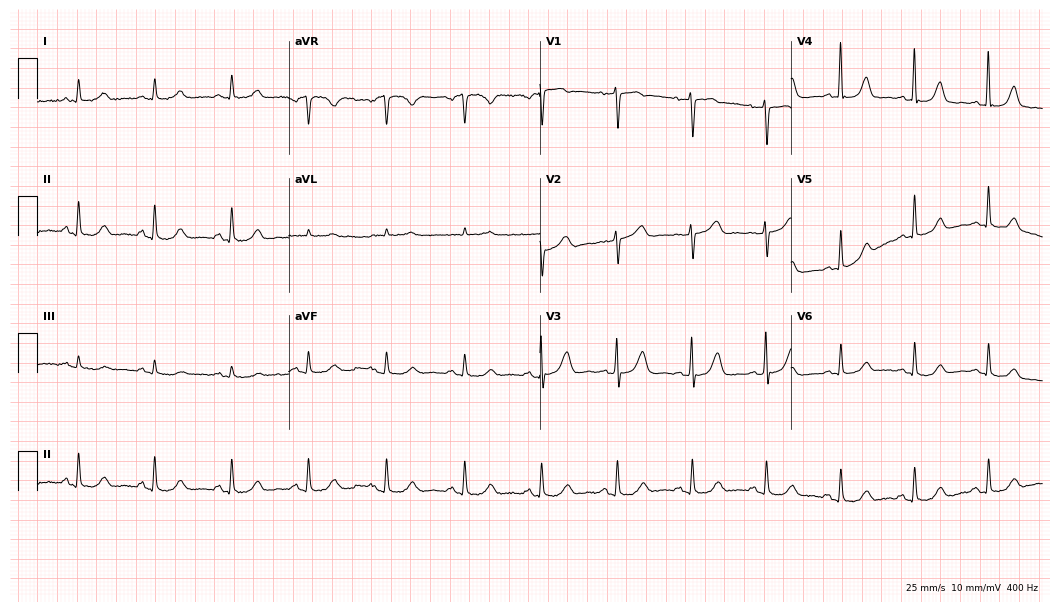
Electrocardiogram, a 52-year-old female patient. Of the six screened findings (first-degree AV block, right bundle branch block, left bundle branch block, sinus bradycardia, atrial fibrillation, sinus tachycardia), none is recorded.